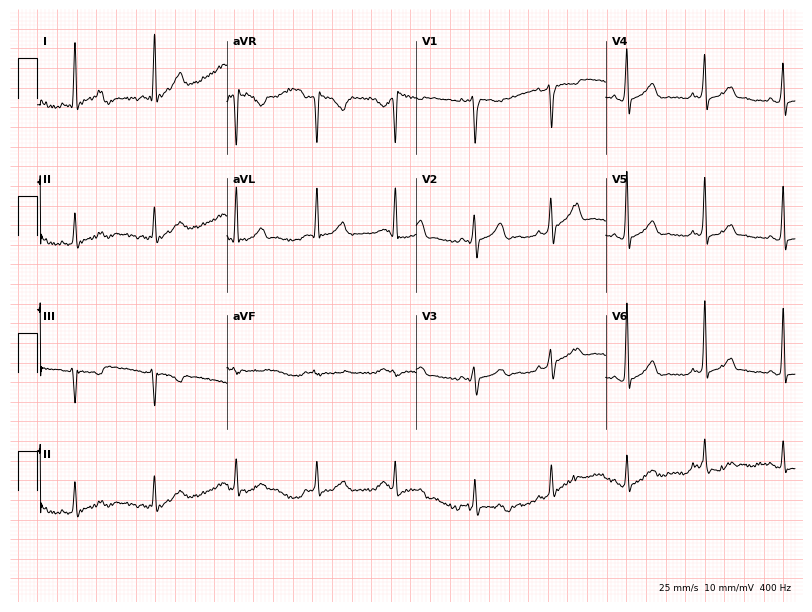
Resting 12-lead electrocardiogram. Patient: a 39-year-old female. None of these six findings is recorded: first-degree AV block, right bundle branch block, left bundle branch block, sinus bradycardia, atrial fibrillation, sinus tachycardia. Other findings, if any, are not listed.